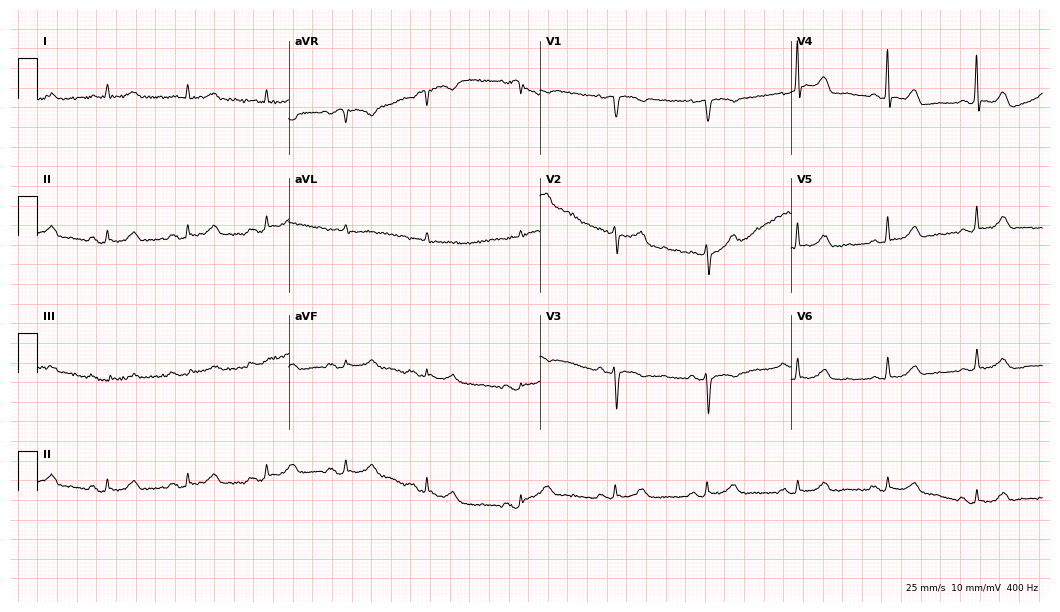
Resting 12-lead electrocardiogram. Patient: a 78-year-old female. None of these six findings is recorded: first-degree AV block, right bundle branch block, left bundle branch block, sinus bradycardia, atrial fibrillation, sinus tachycardia. Other findings, if any, are not listed.